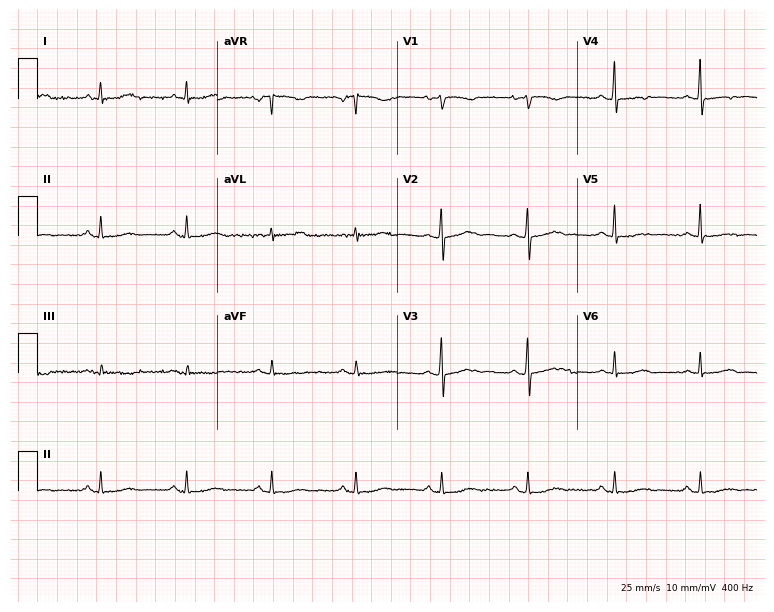
12-lead ECG from a 45-year-old female. Screened for six findings — first-degree AV block, right bundle branch block, left bundle branch block, sinus bradycardia, atrial fibrillation, sinus tachycardia — none is recorded.